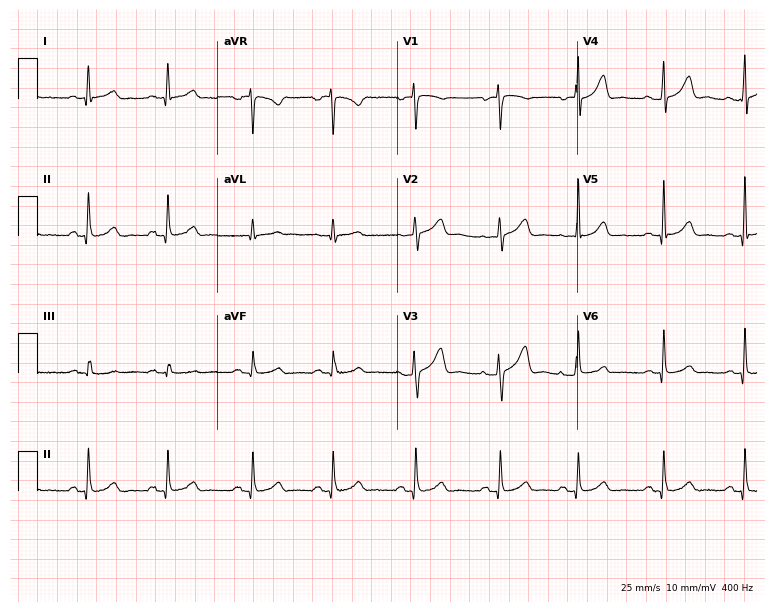
Standard 12-lead ECG recorded from an 81-year-old female (7.3-second recording at 400 Hz). Read as a normal ECG.